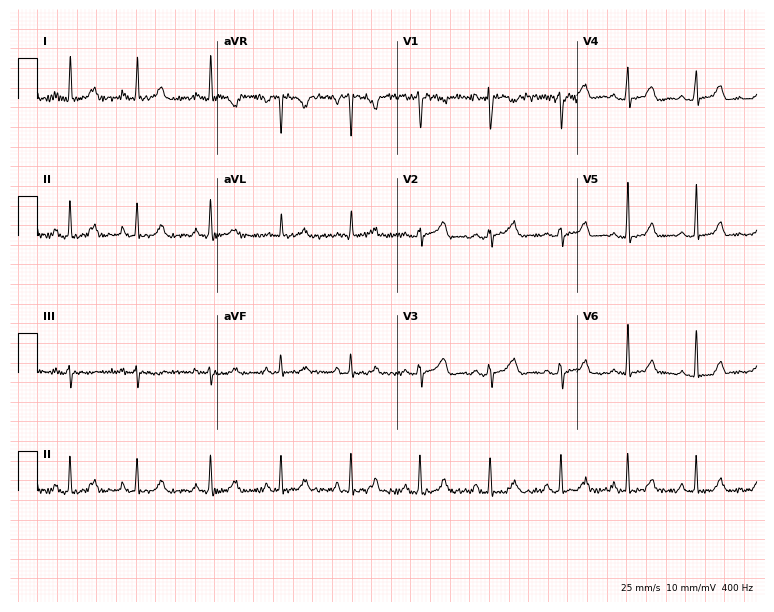
Electrocardiogram (7.3-second recording at 400 Hz), a female, 38 years old. Overall reading on record: normal ECG.